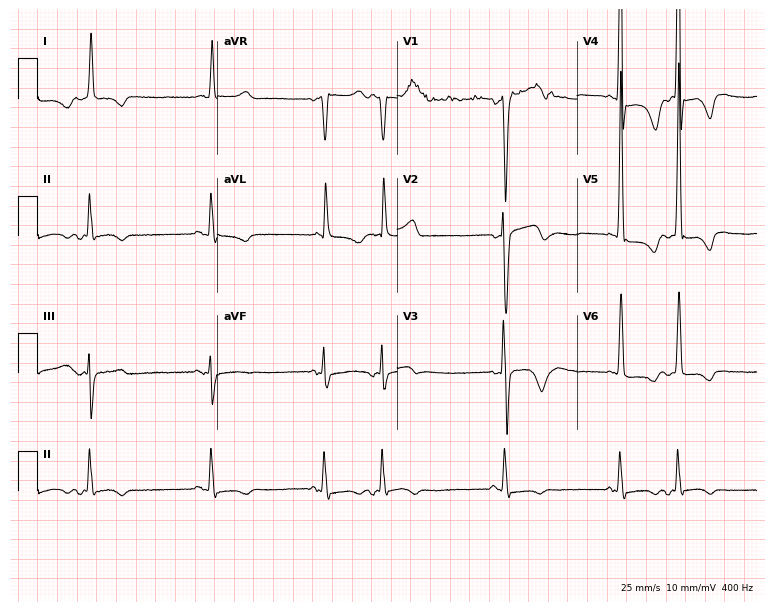
12-lead ECG from a man, 77 years old. Screened for six findings — first-degree AV block, right bundle branch block (RBBB), left bundle branch block (LBBB), sinus bradycardia, atrial fibrillation (AF), sinus tachycardia — none is recorded. Other findings, if any, are not listed.